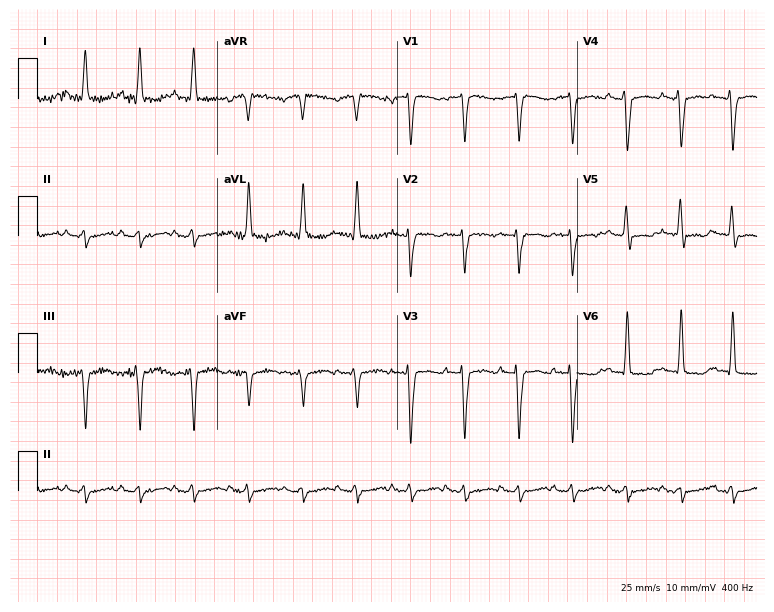
12-lead ECG from a 74-year-old woman (7.3-second recording at 400 Hz). Shows sinus tachycardia (a sinus rate of 100 beats per minute or more).